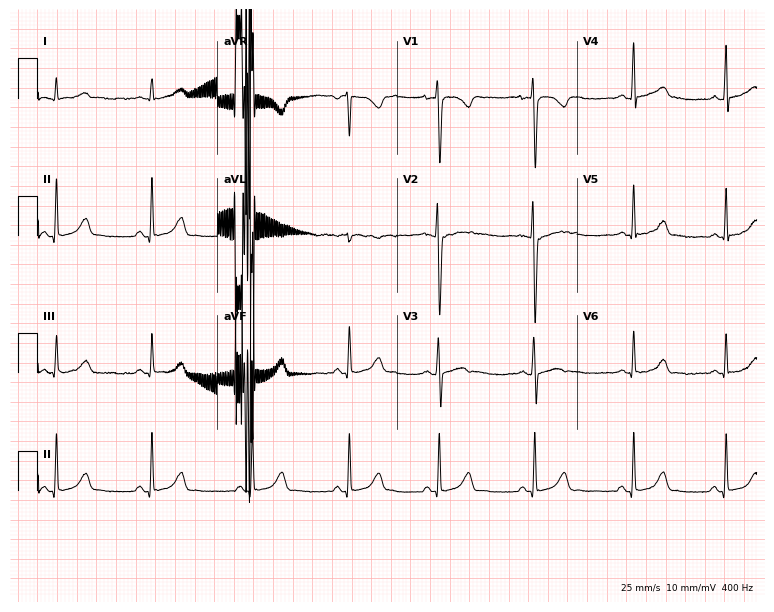
12-lead ECG from a 26-year-old female. Labelled as a normal ECG.